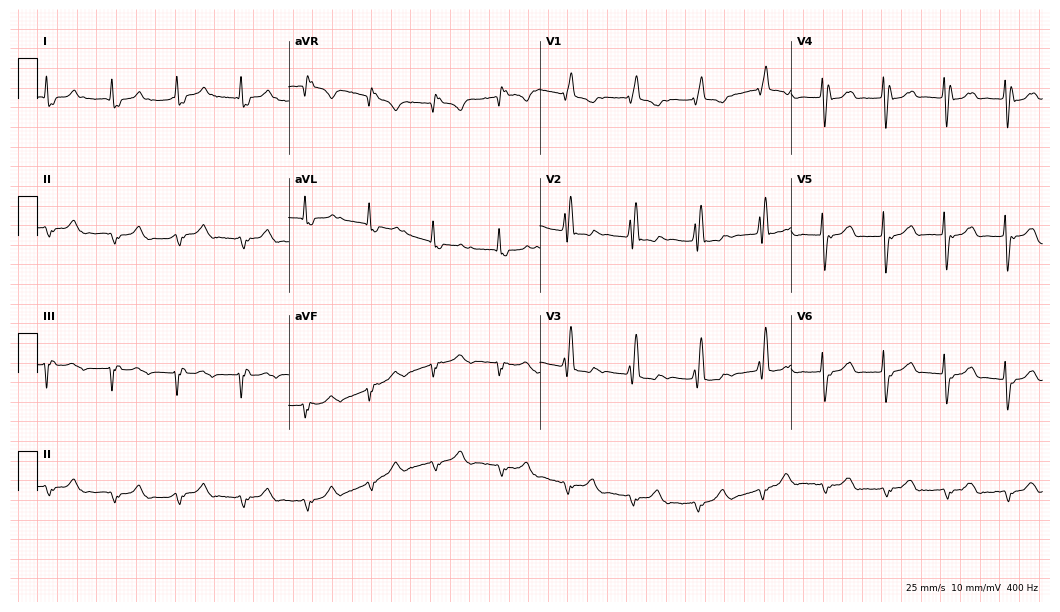
Resting 12-lead electrocardiogram. Patient: an 83-year-old male. The tracing shows right bundle branch block (RBBB).